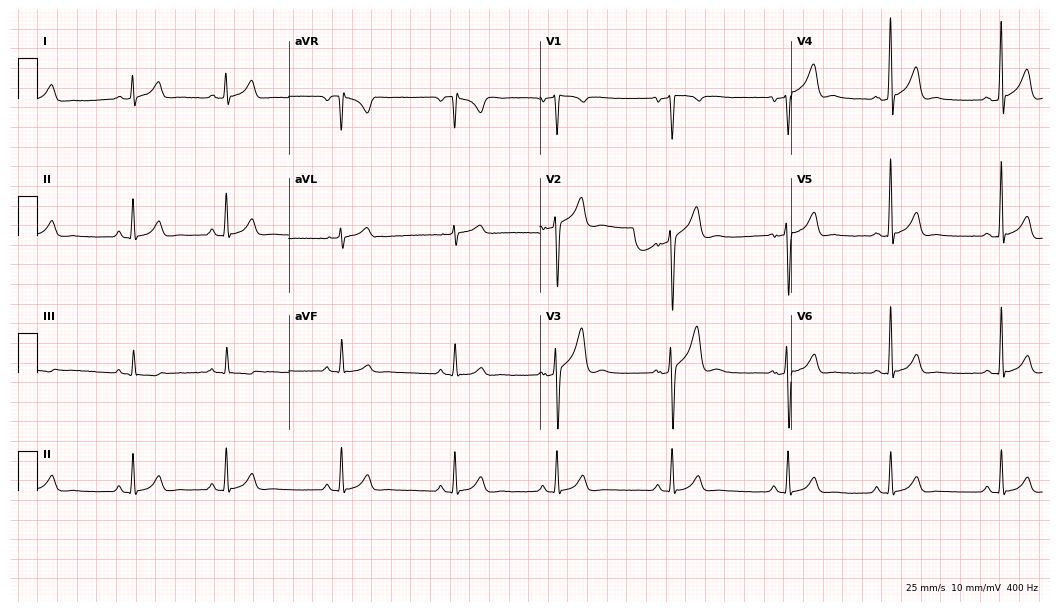
12-lead ECG from a male, 43 years old (10.2-second recording at 400 Hz). Recorded interpretation: within normal limits.